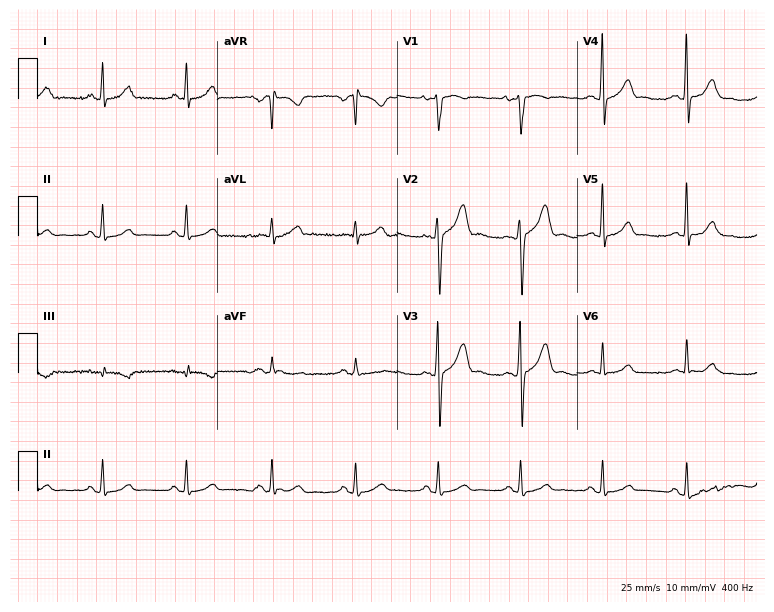
Standard 12-lead ECG recorded from a male patient, 28 years old. Read as a normal ECG.